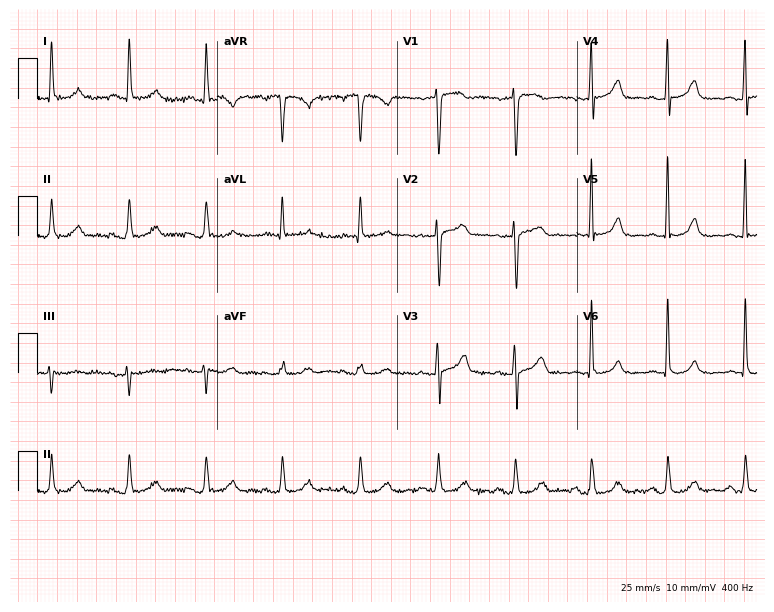
12-lead ECG from a woman, 56 years old (7.3-second recording at 400 Hz). No first-degree AV block, right bundle branch block, left bundle branch block, sinus bradycardia, atrial fibrillation or sinus tachycardia recorded for this tracing.